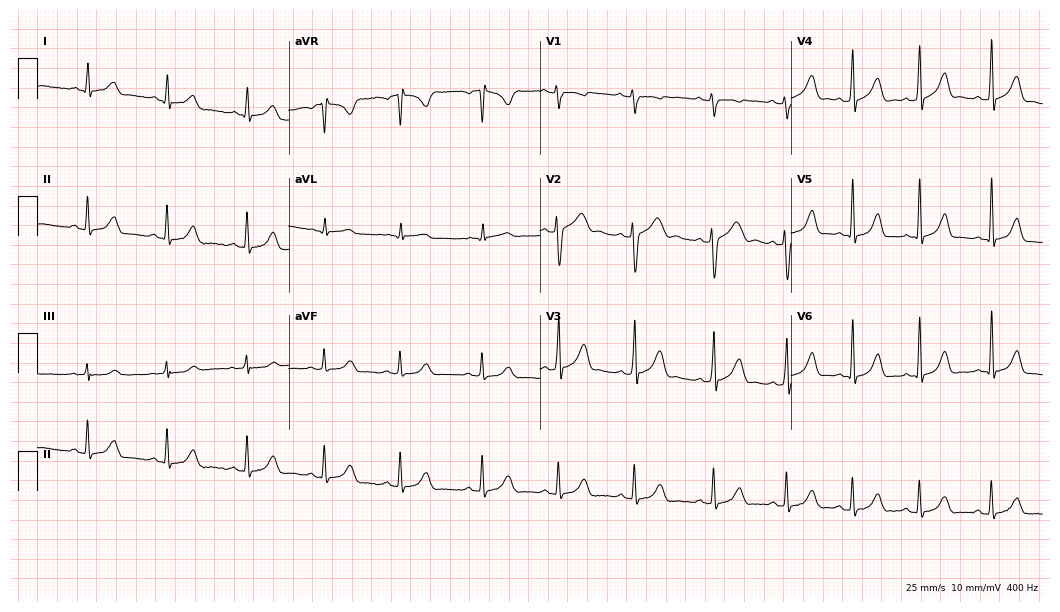
Electrocardiogram (10.2-second recording at 400 Hz), a male patient, 24 years old. Overall reading on record: normal ECG.